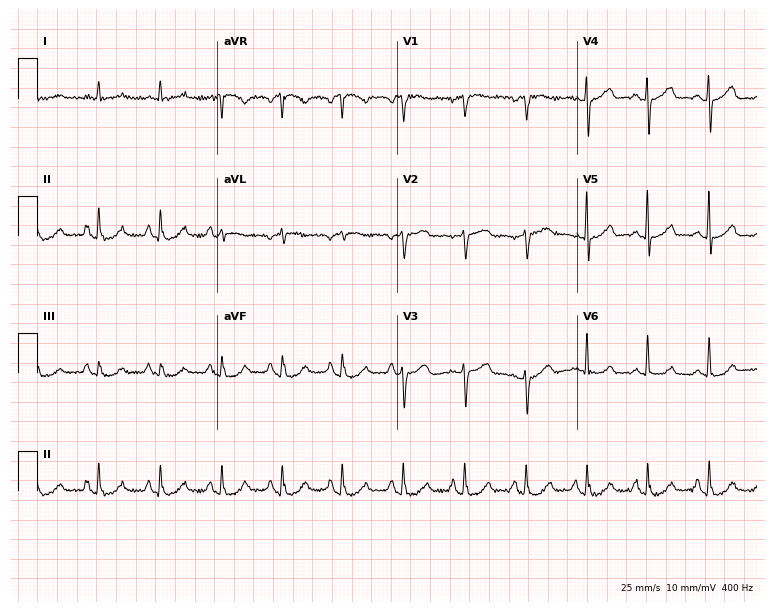
Standard 12-lead ECG recorded from a 56-year-old woman. None of these six findings is recorded: first-degree AV block, right bundle branch block, left bundle branch block, sinus bradycardia, atrial fibrillation, sinus tachycardia.